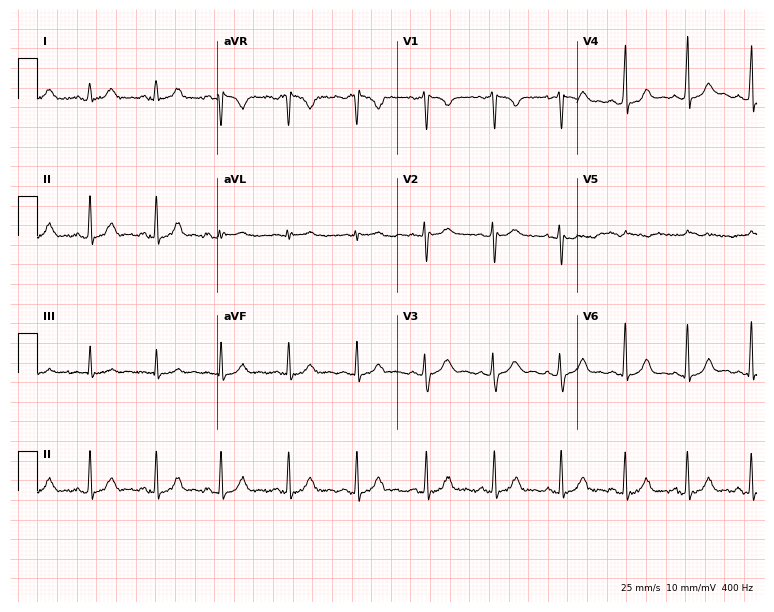
Electrocardiogram (7.3-second recording at 400 Hz), a 21-year-old female. Of the six screened findings (first-degree AV block, right bundle branch block, left bundle branch block, sinus bradycardia, atrial fibrillation, sinus tachycardia), none is recorded. Findings outside these six are not listed.